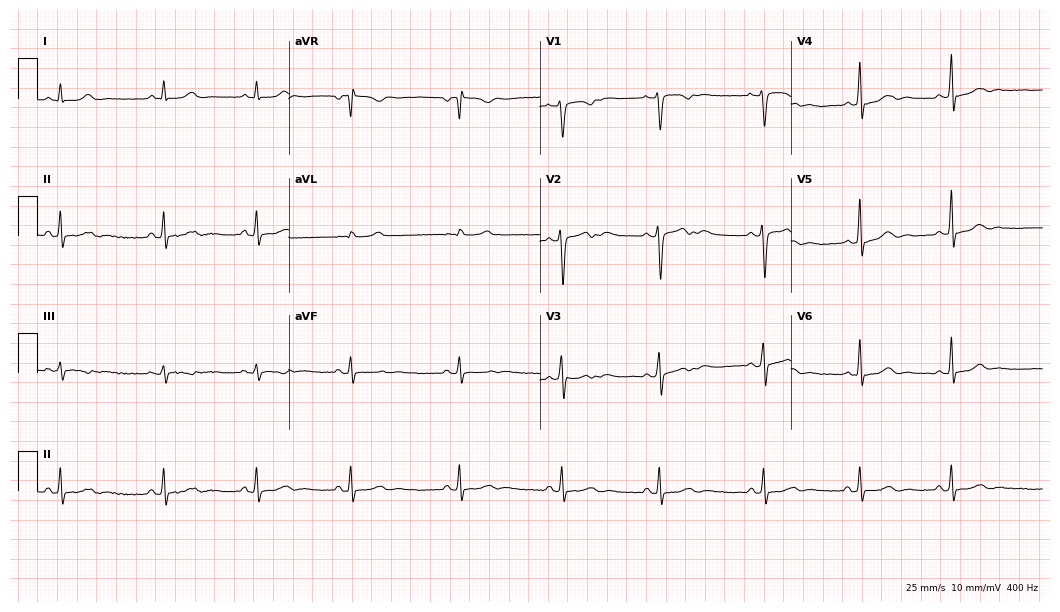
ECG — a woman, 18 years old. Screened for six findings — first-degree AV block, right bundle branch block (RBBB), left bundle branch block (LBBB), sinus bradycardia, atrial fibrillation (AF), sinus tachycardia — none is recorded.